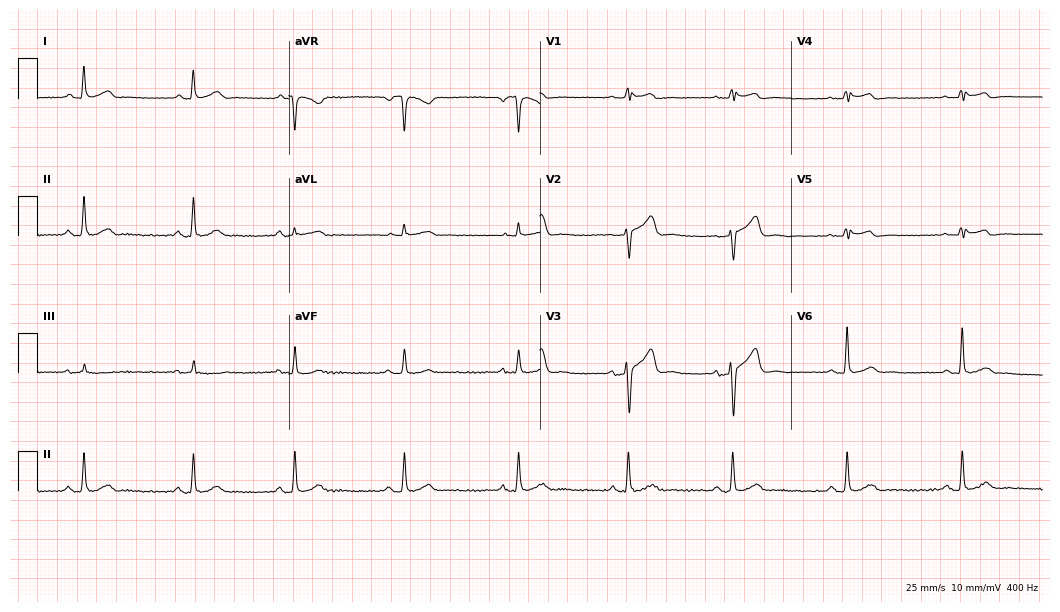
12-lead ECG from a male, 52 years old (10.2-second recording at 400 Hz). Recorded interpretation: within normal limits.